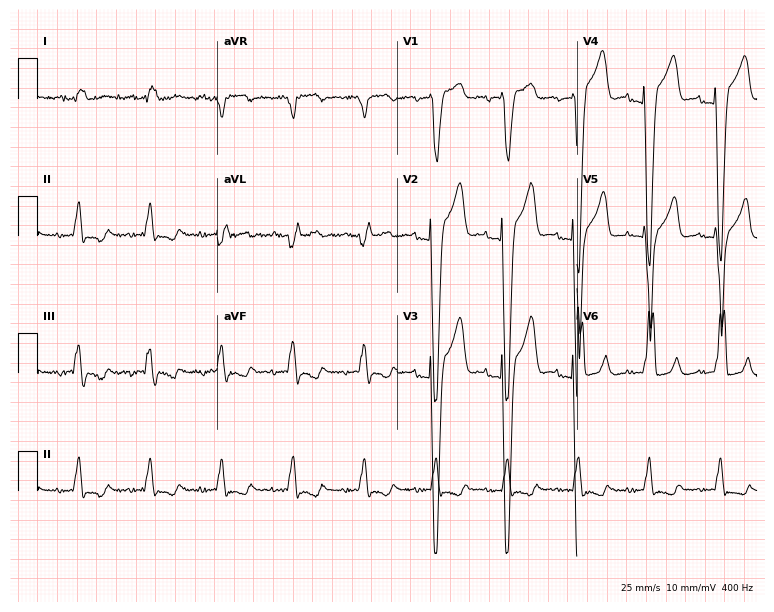
12-lead ECG (7.3-second recording at 400 Hz) from a woman, 81 years old. Findings include left bundle branch block (LBBB).